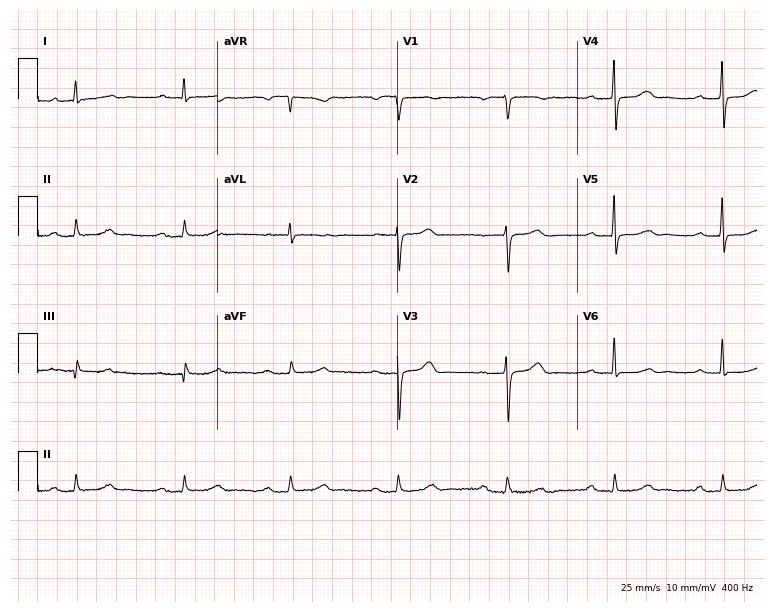
12-lead ECG from a 53-year-old female patient. Shows first-degree AV block.